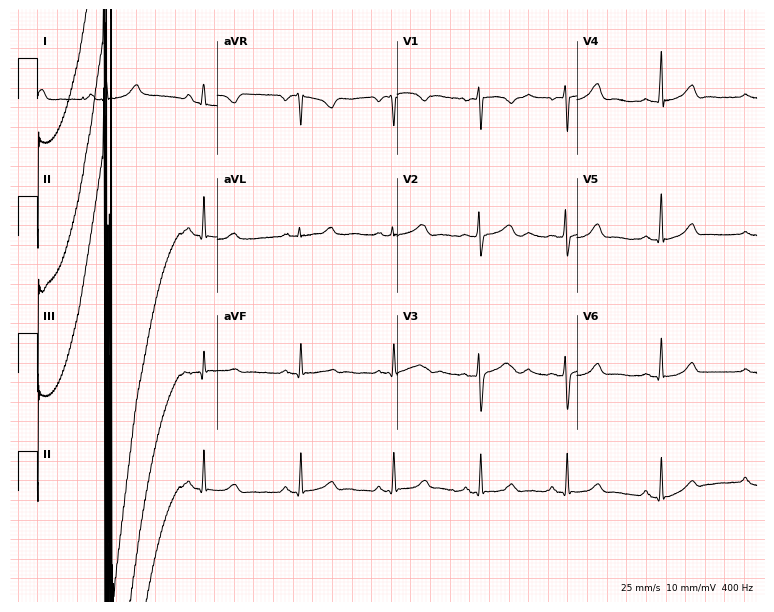
12-lead ECG from a 26-year-old female patient. Recorded interpretation: within normal limits.